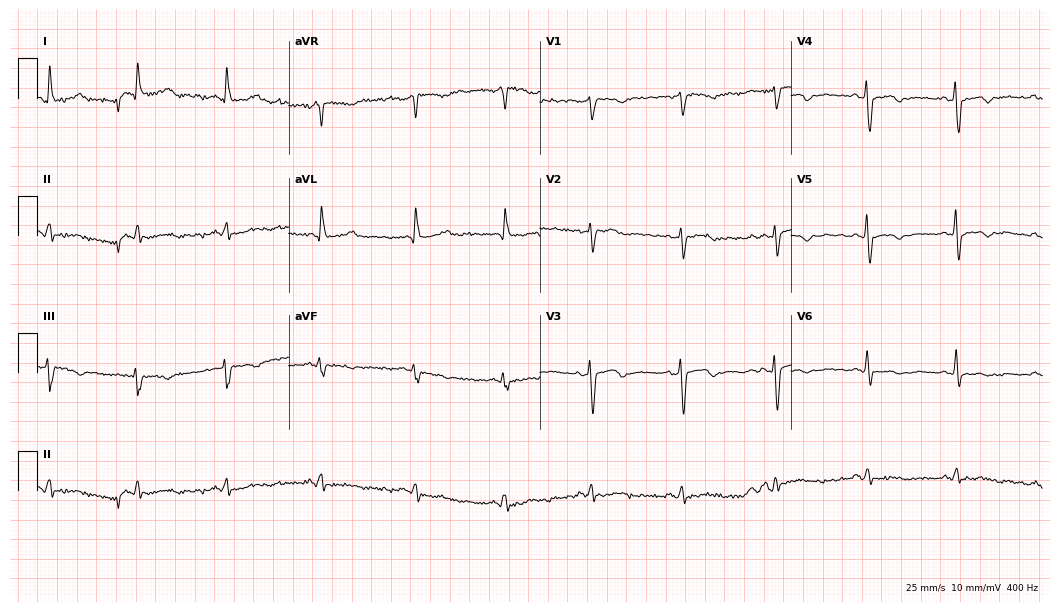
Resting 12-lead electrocardiogram (10.2-second recording at 400 Hz). Patient: a female, 63 years old. None of these six findings is recorded: first-degree AV block, right bundle branch block, left bundle branch block, sinus bradycardia, atrial fibrillation, sinus tachycardia. Findings outside these six are not listed.